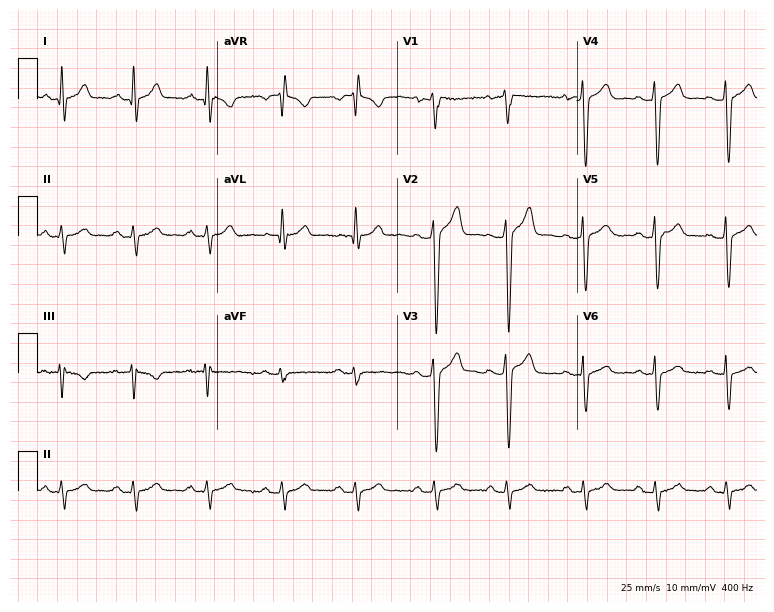
12-lead ECG from a male, 29 years old (7.3-second recording at 400 Hz). No first-degree AV block, right bundle branch block (RBBB), left bundle branch block (LBBB), sinus bradycardia, atrial fibrillation (AF) or sinus tachycardia recorded for this tracing.